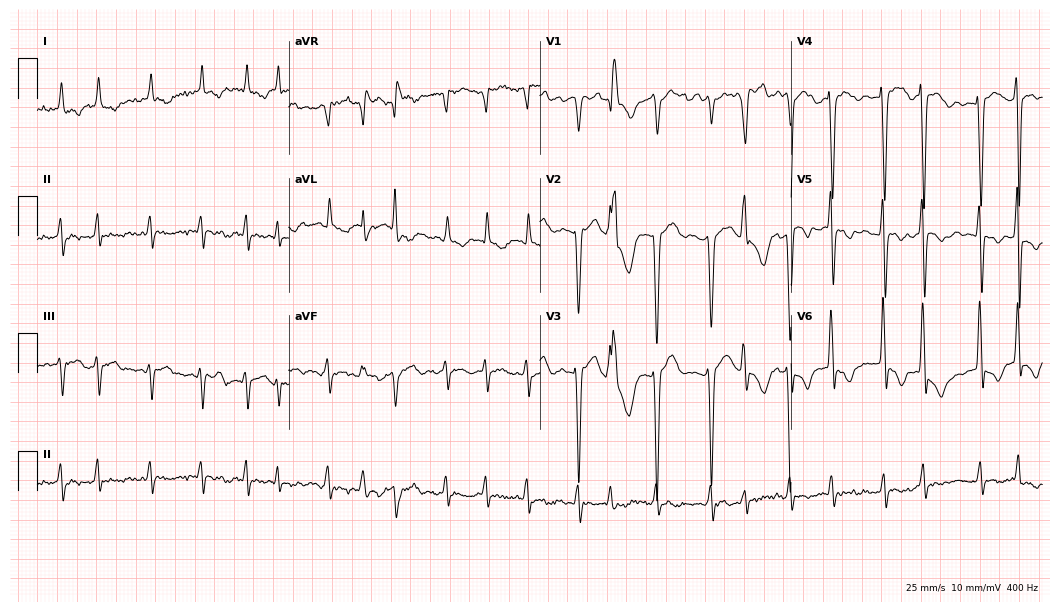
12-lead ECG from a 76-year-old female patient. Findings include atrial fibrillation (AF).